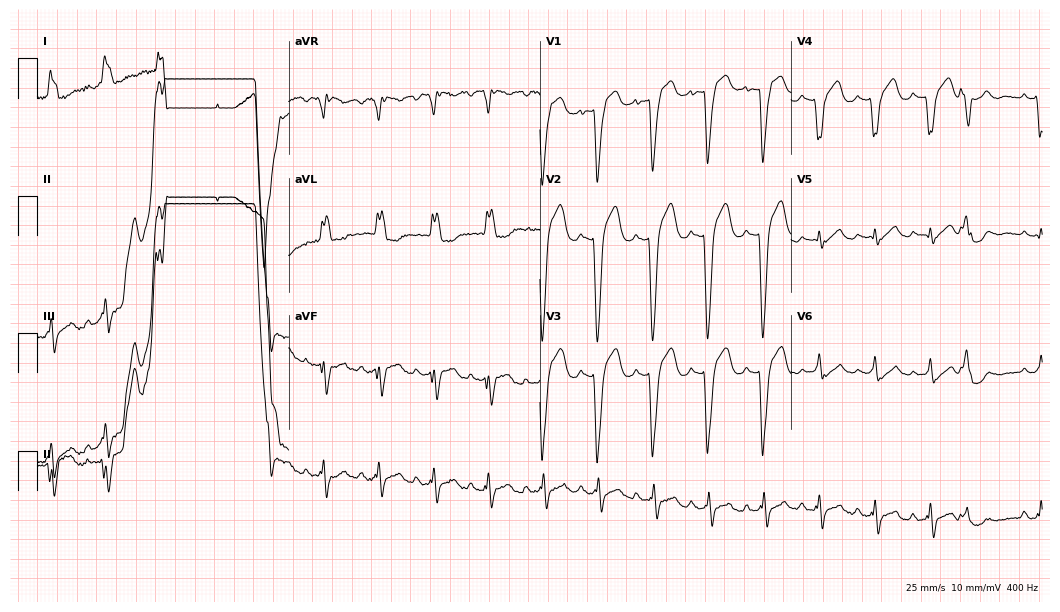
ECG (10.2-second recording at 400 Hz) — a woman, 54 years old. Screened for six findings — first-degree AV block, right bundle branch block (RBBB), left bundle branch block (LBBB), sinus bradycardia, atrial fibrillation (AF), sinus tachycardia — none is recorded.